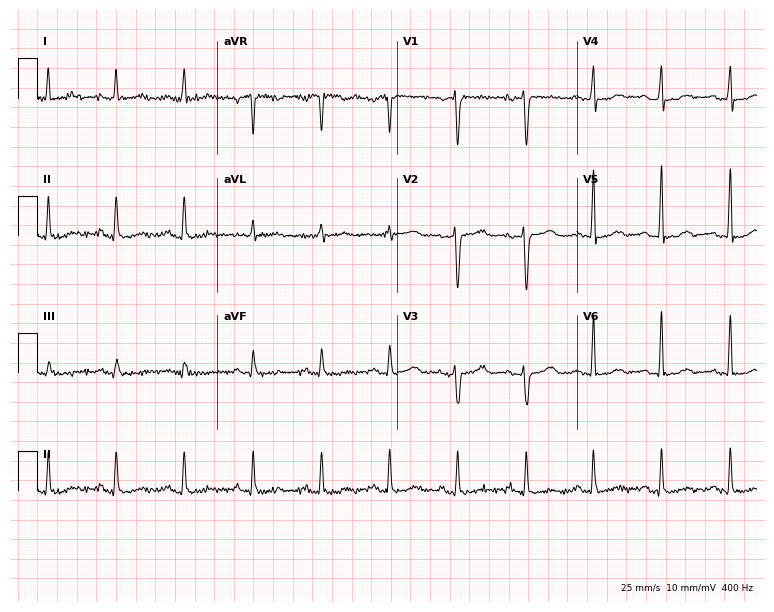
Electrocardiogram, a female patient, 45 years old. Of the six screened findings (first-degree AV block, right bundle branch block (RBBB), left bundle branch block (LBBB), sinus bradycardia, atrial fibrillation (AF), sinus tachycardia), none is recorded. Findings outside these six are not listed.